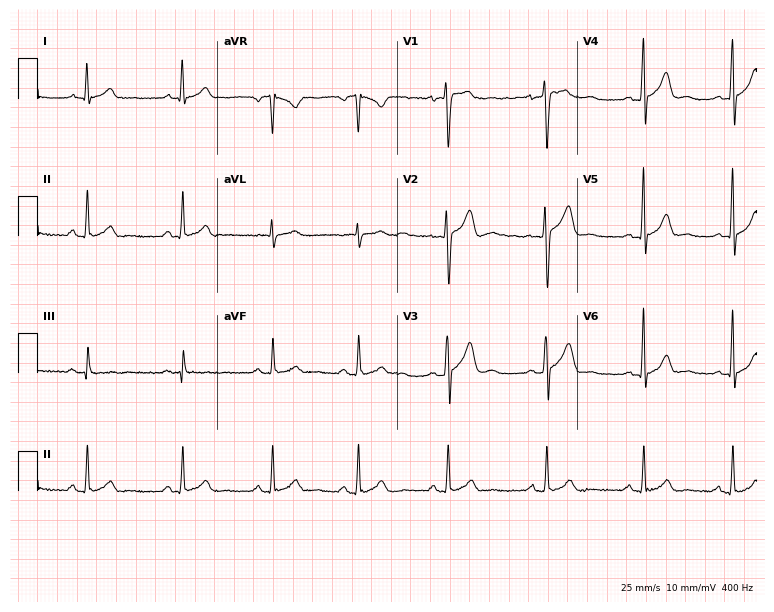
Standard 12-lead ECG recorded from a 37-year-old male patient (7.3-second recording at 400 Hz). None of these six findings is recorded: first-degree AV block, right bundle branch block, left bundle branch block, sinus bradycardia, atrial fibrillation, sinus tachycardia. Other findings, if any, are not listed.